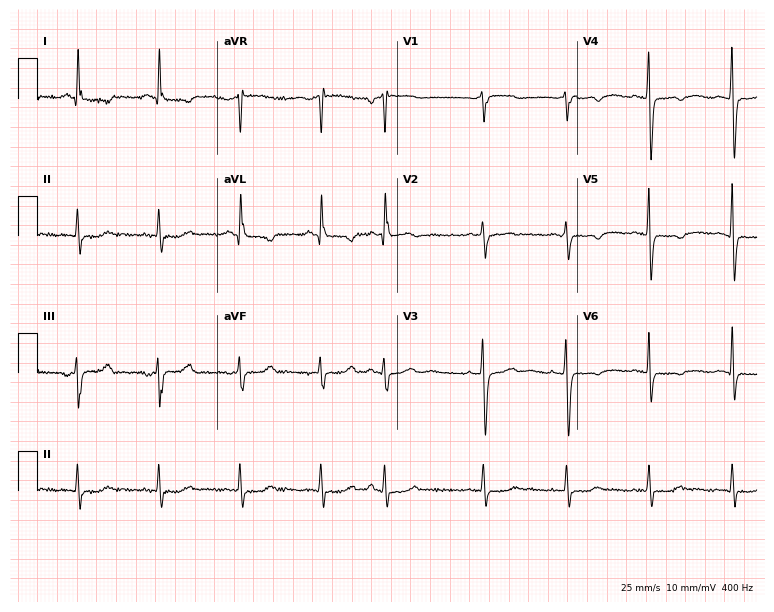
Electrocardiogram (7.3-second recording at 400 Hz), a 64-year-old female. Of the six screened findings (first-degree AV block, right bundle branch block, left bundle branch block, sinus bradycardia, atrial fibrillation, sinus tachycardia), none is recorded.